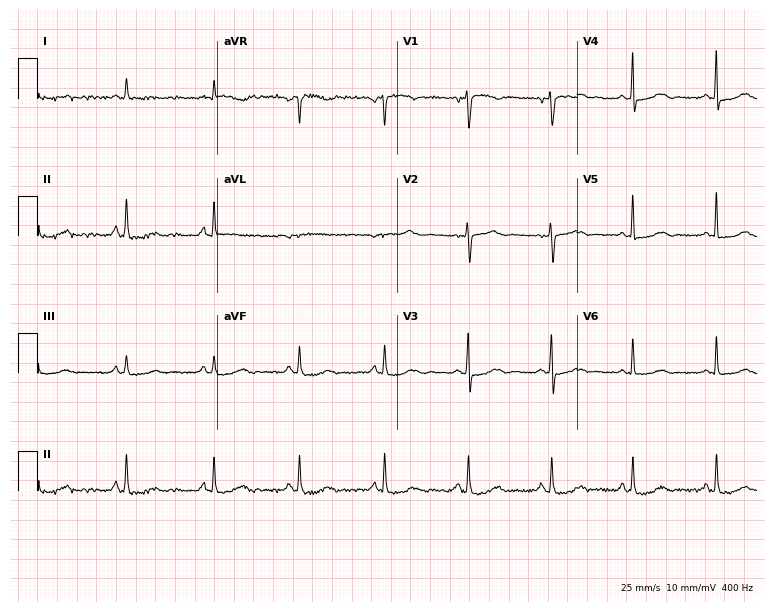
12-lead ECG from a woman, 54 years old (7.3-second recording at 400 Hz). Recorded interpretation: within normal limits.